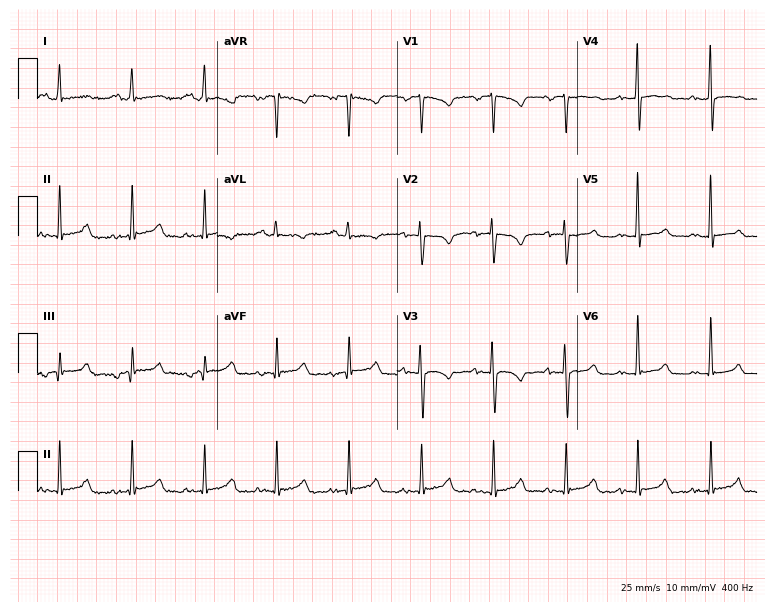
Standard 12-lead ECG recorded from a woman, 35 years old (7.3-second recording at 400 Hz). None of these six findings is recorded: first-degree AV block, right bundle branch block, left bundle branch block, sinus bradycardia, atrial fibrillation, sinus tachycardia.